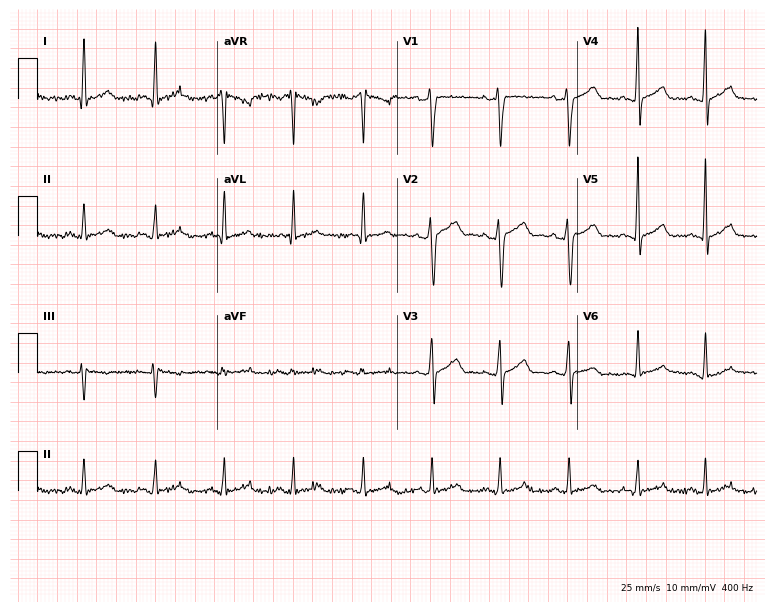
Resting 12-lead electrocardiogram. Patient: a 37-year-old man. None of these six findings is recorded: first-degree AV block, right bundle branch block, left bundle branch block, sinus bradycardia, atrial fibrillation, sinus tachycardia. Other findings, if any, are not listed.